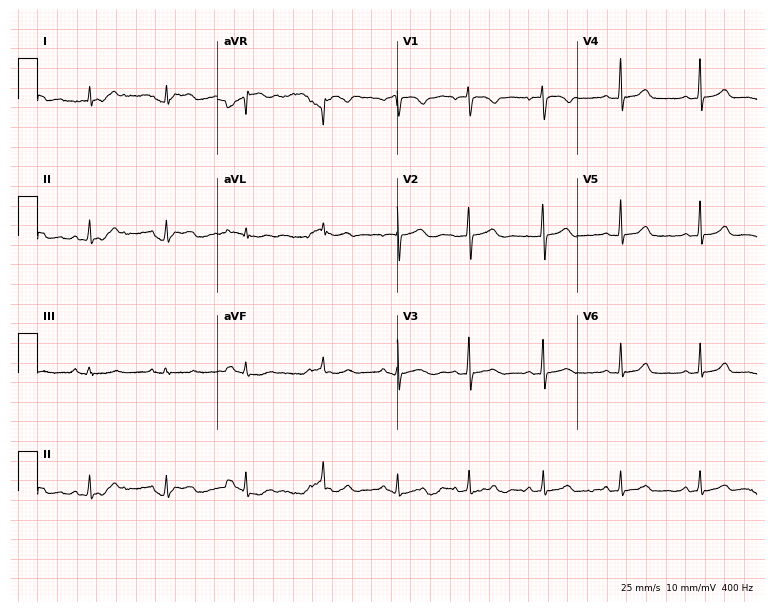
Electrocardiogram (7.3-second recording at 400 Hz), a 33-year-old woman. Of the six screened findings (first-degree AV block, right bundle branch block (RBBB), left bundle branch block (LBBB), sinus bradycardia, atrial fibrillation (AF), sinus tachycardia), none is recorded.